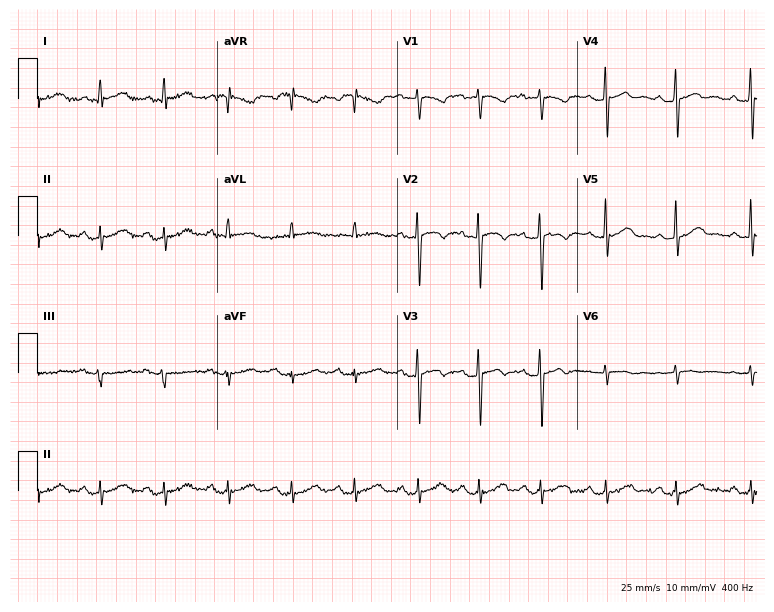
Standard 12-lead ECG recorded from a female, 53 years old. None of these six findings is recorded: first-degree AV block, right bundle branch block (RBBB), left bundle branch block (LBBB), sinus bradycardia, atrial fibrillation (AF), sinus tachycardia.